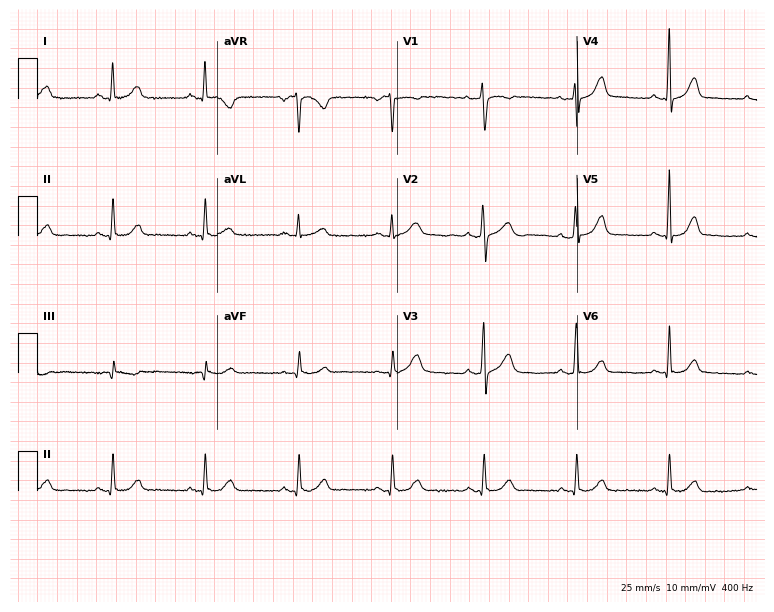
12-lead ECG from a 43-year-old female (7.3-second recording at 400 Hz). No first-degree AV block, right bundle branch block, left bundle branch block, sinus bradycardia, atrial fibrillation or sinus tachycardia recorded for this tracing. Findings outside these six are not listed.